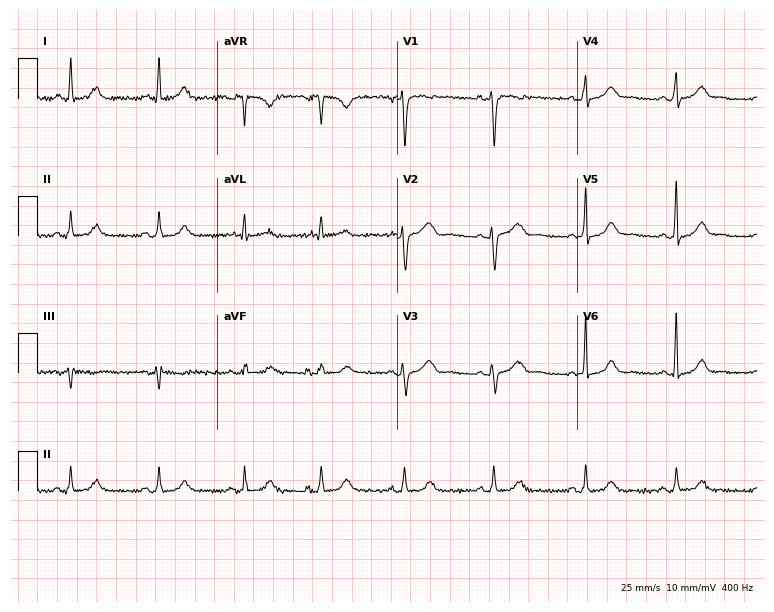
Electrocardiogram (7.3-second recording at 400 Hz), a female, 41 years old. Overall reading on record: normal ECG.